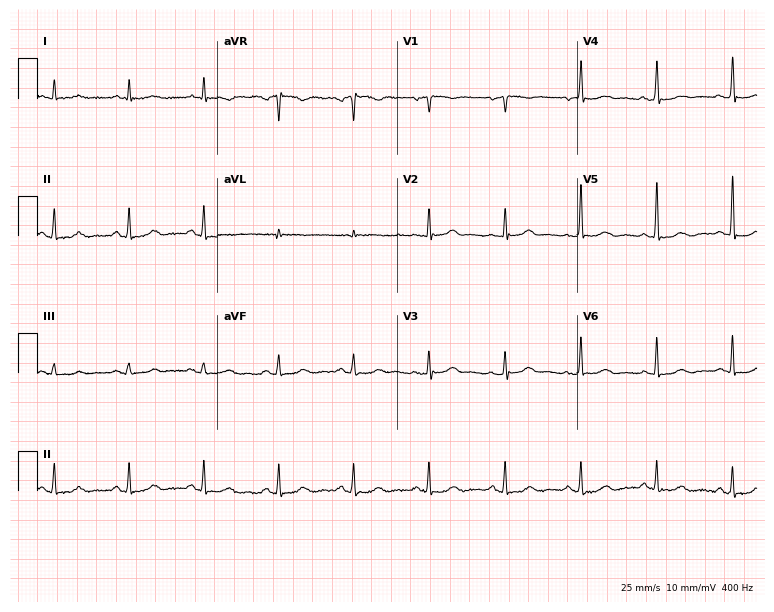
Resting 12-lead electrocardiogram. Patient: a female, 72 years old. None of these six findings is recorded: first-degree AV block, right bundle branch block, left bundle branch block, sinus bradycardia, atrial fibrillation, sinus tachycardia. Other findings, if any, are not listed.